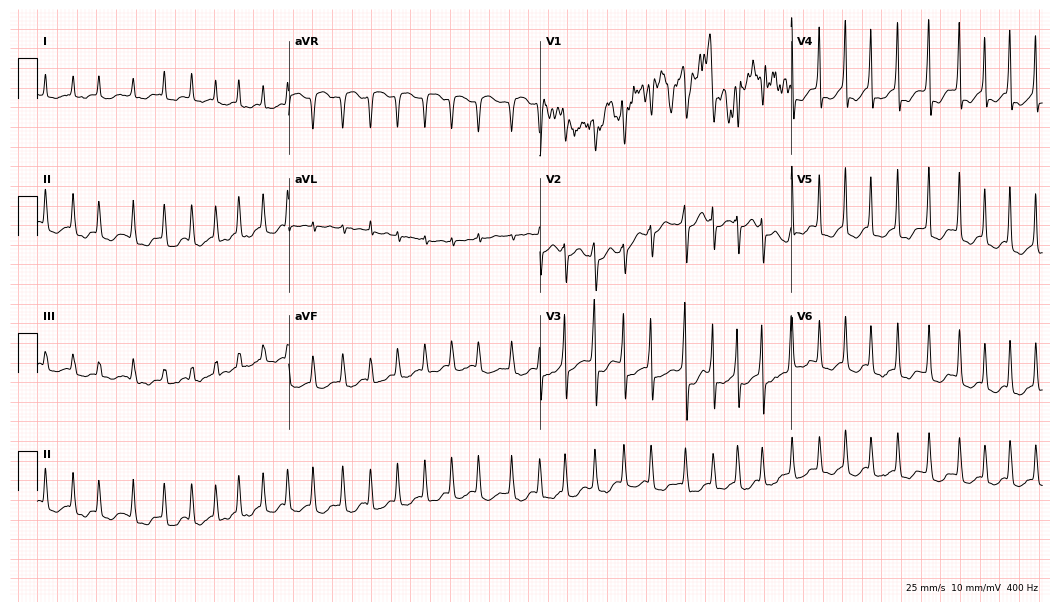
12-lead ECG from a 67-year-old male. Findings include atrial fibrillation.